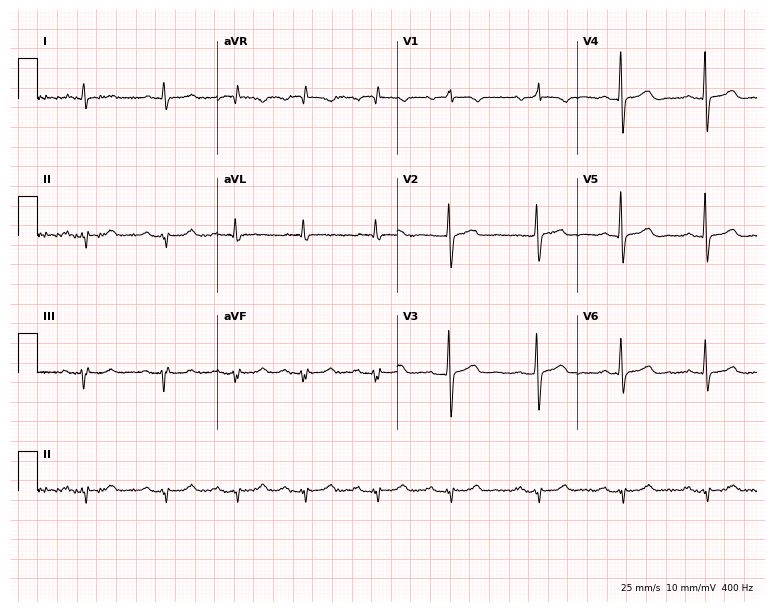
ECG (7.3-second recording at 400 Hz) — an 85-year-old female. Screened for six findings — first-degree AV block, right bundle branch block (RBBB), left bundle branch block (LBBB), sinus bradycardia, atrial fibrillation (AF), sinus tachycardia — none is recorded.